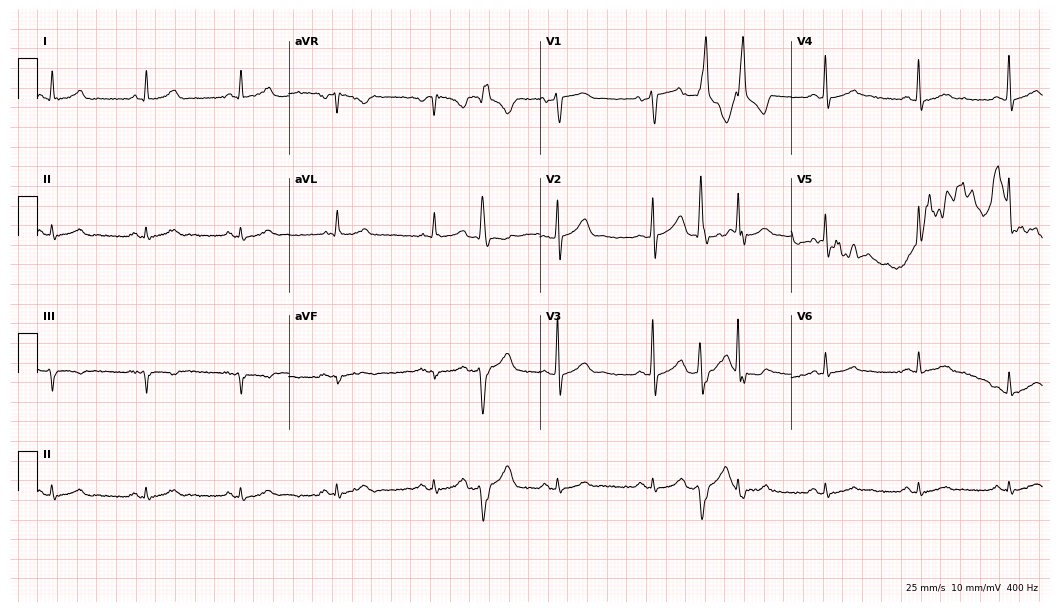
Standard 12-lead ECG recorded from a male, 69 years old (10.2-second recording at 400 Hz). None of these six findings is recorded: first-degree AV block, right bundle branch block (RBBB), left bundle branch block (LBBB), sinus bradycardia, atrial fibrillation (AF), sinus tachycardia. Findings outside these six are not listed.